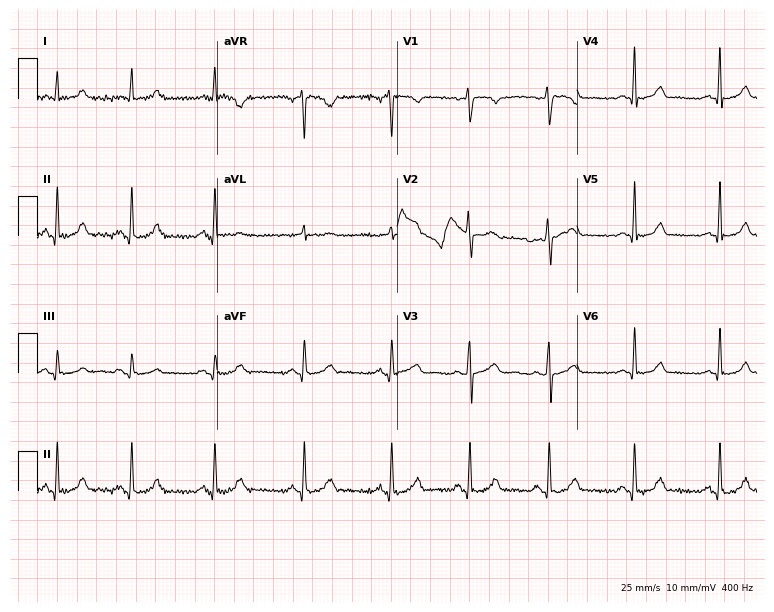
Electrocardiogram (7.3-second recording at 400 Hz), a female patient, 34 years old. Overall reading on record: normal ECG.